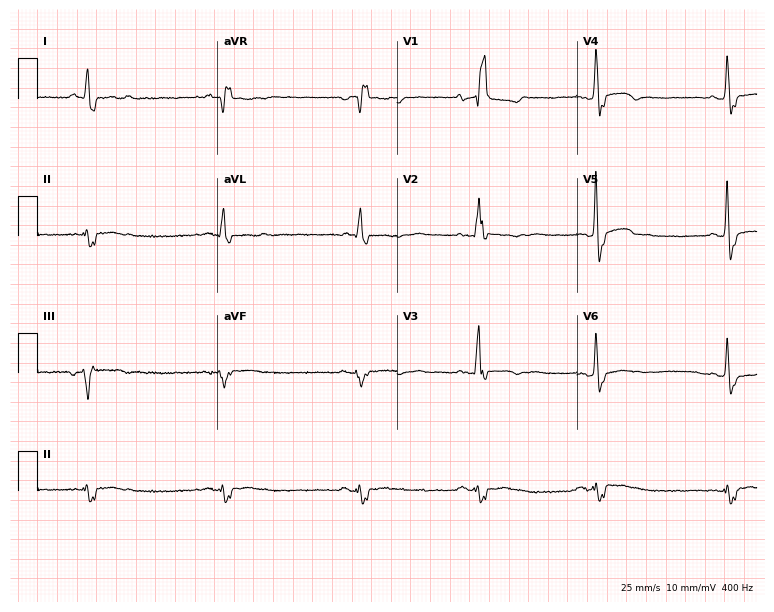
Resting 12-lead electrocardiogram. Patient: a 78-year-old female. The tracing shows right bundle branch block, sinus bradycardia (a sinus rate of 50 beats per minute or less).